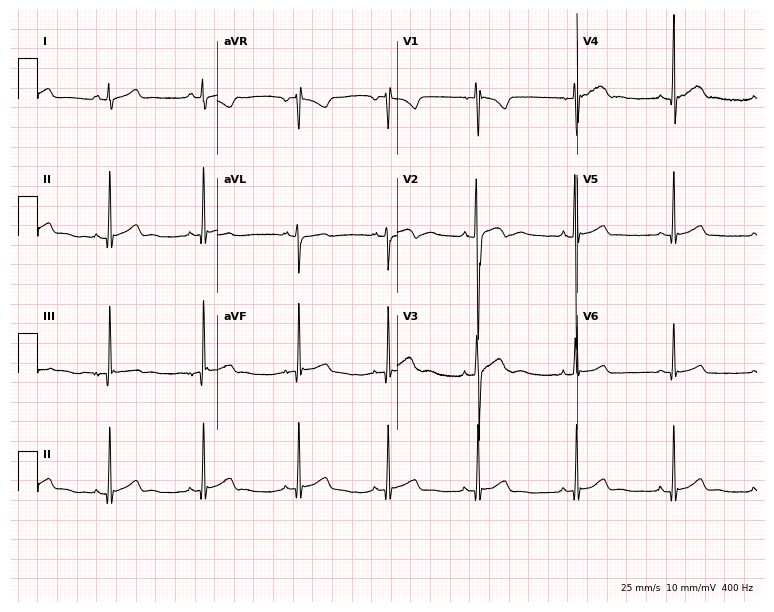
12-lead ECG from a man, 18 years old. Labelled as a normal ECG.